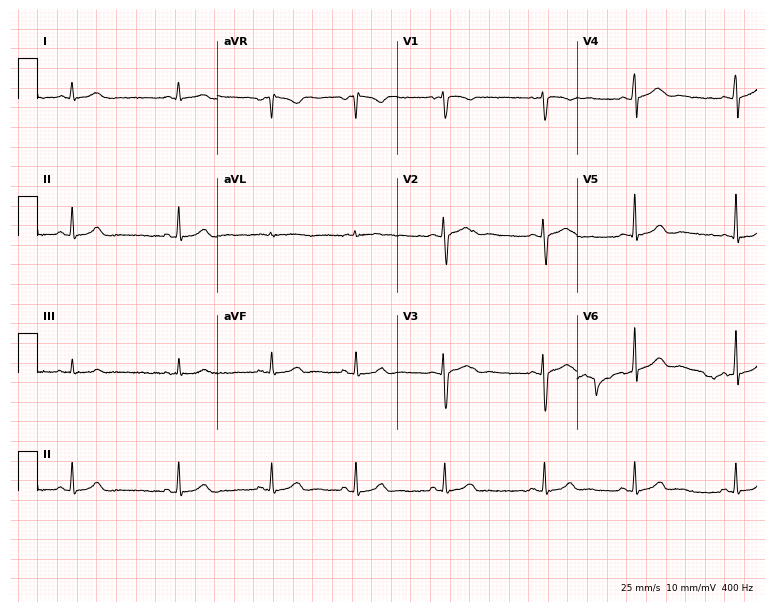
12-lead ECG from a 19-year-old female patient. Recorded interpretation: within normal limits.